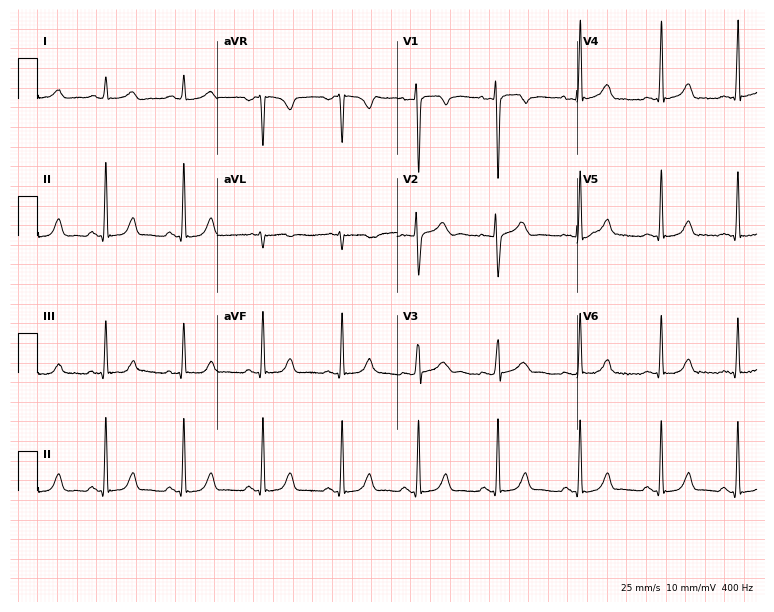
12-lead ECG from a woman, 25 years old (7.3-second recording at 400 Hz). No first-degree AV block, right bundle branch block, left bundle branch block, sinus bradycardia, atrial fibrillation or sinus tachycardia recorded for this tracing.